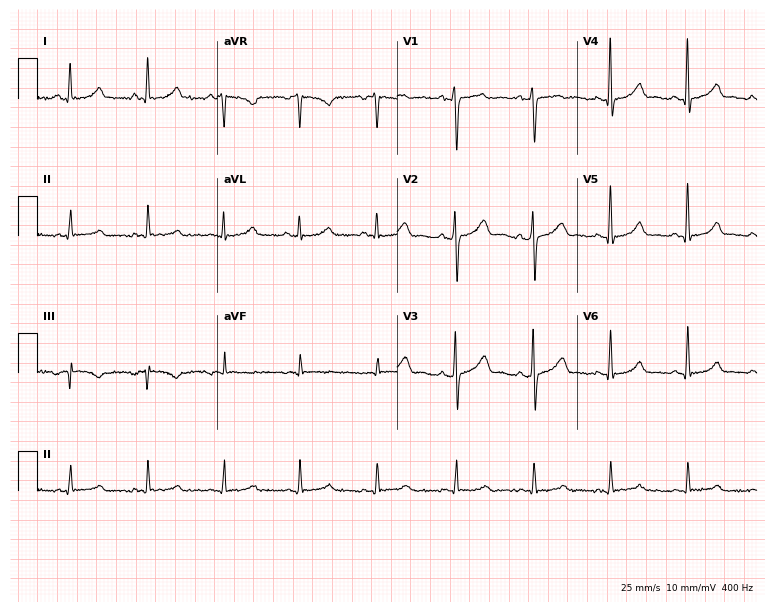
Electrocardiogram (7.3-second recording at 400 Hz), a woman, 38 years old. Overall reading on record: normal ECG.